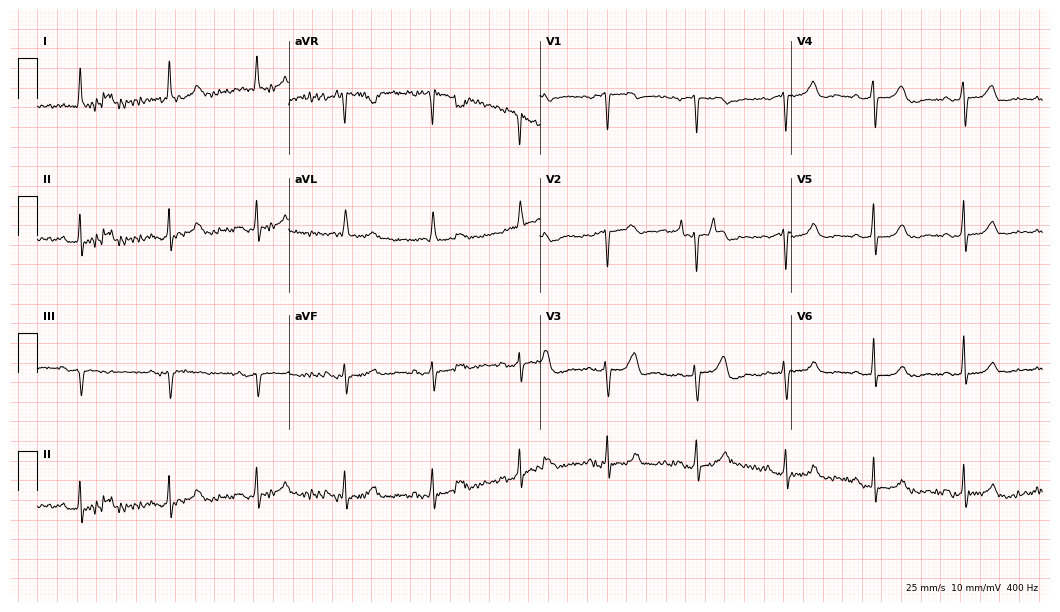
Standard 12-lead ECG recorded from an 83-year-old female patient. Read as a normal ECG.